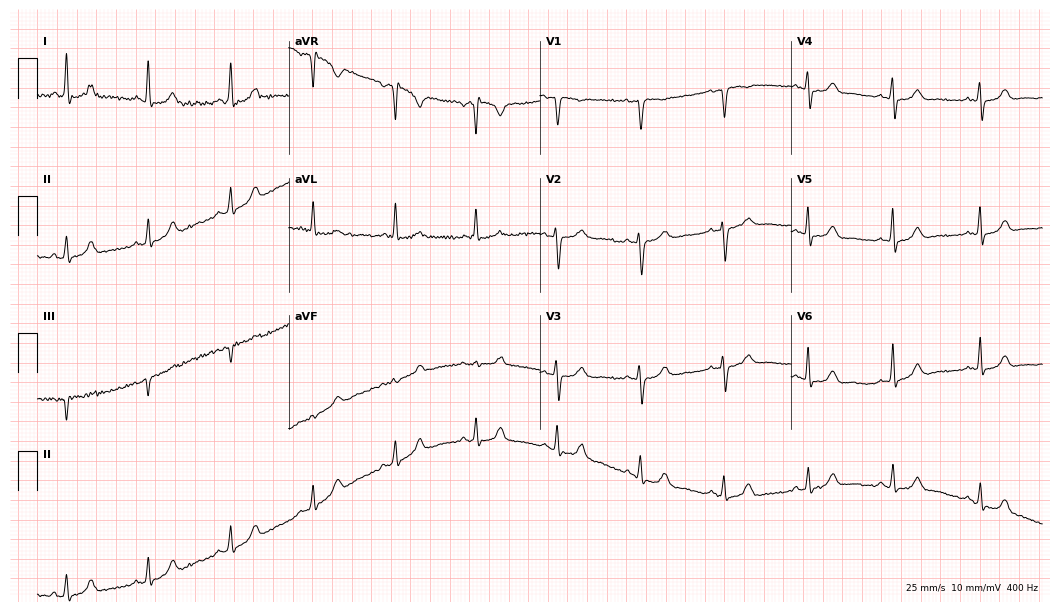
Electrocardiogram, a 51-year-old female. Of the six screened findings (first-degree AV block, right bundle branch block (RBBB), left bundle branch block (LBBB), sinus bradycardia, atrial fibrillation (AF), sinus tachycardia), none is recorded.